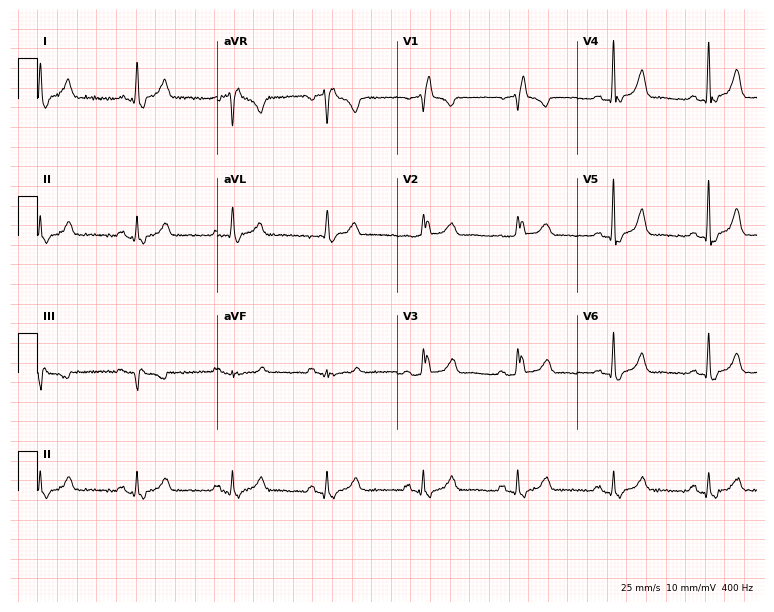
Resting 12-lead electrocardiogram. Patient: a 75-year-old female. None of these six findings is recorded: first-degree AV block, right bundle branch block (RBBB), left bundle branch block (LBBB), sinus bradycardia, atrial fibrillation (AF), sinus tachycardia.